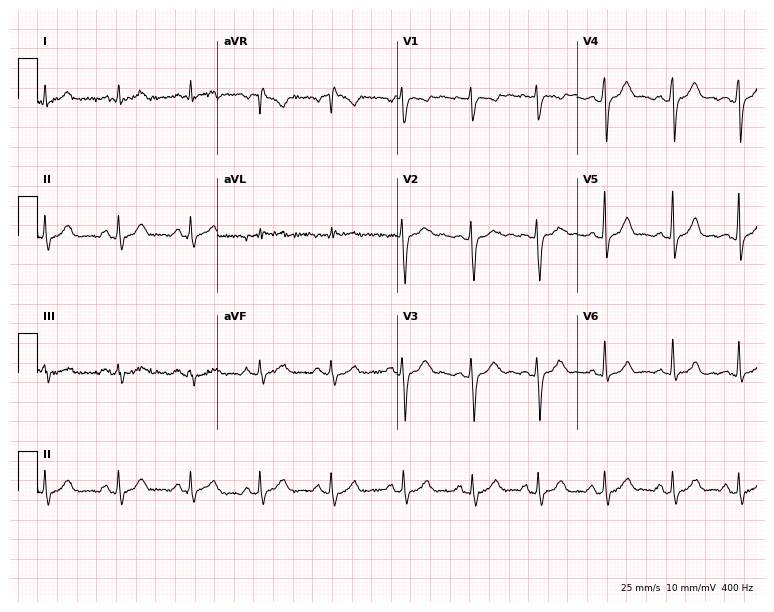
12-lead ECG from a female patient, 22 years old. Recorded interpretation: within normal limits.